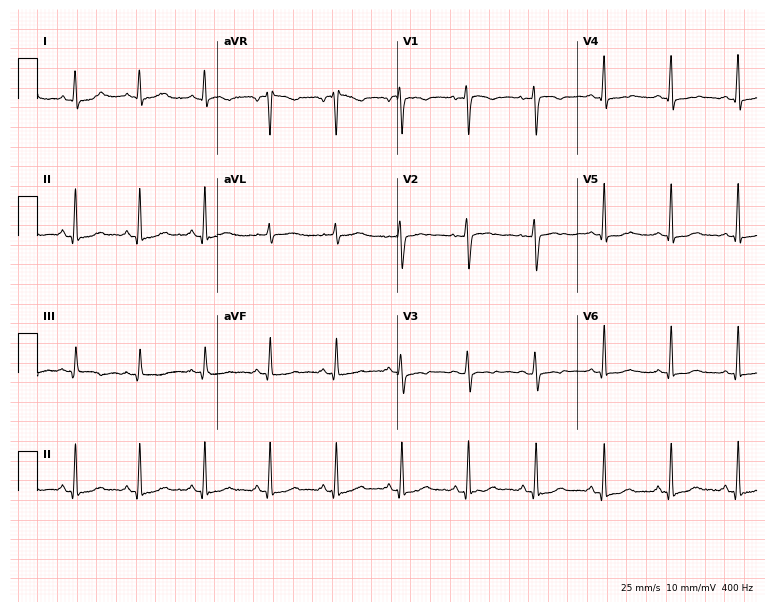
Electrocardiogram (7.3-second recording at 400 Hz), a female, 34 years old. Of the six screened findings (first-degree AV block, right bundle branch block (RBBB), left bundle branch block (LBBB), sinus bradycardia, atrial fibrillation (AF), sinus tachycardia), none is recorded. Only these six findings were labelled.